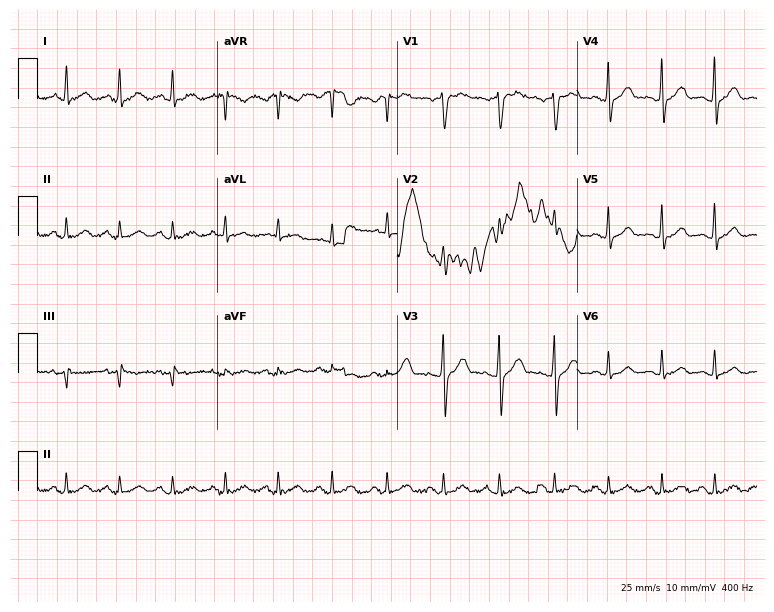
ECG (7.3-second recording at 400 Hz) — a man, 42 years old. Findings include sinus tachycardia (a sinus rate of 100 beats per minute or more).